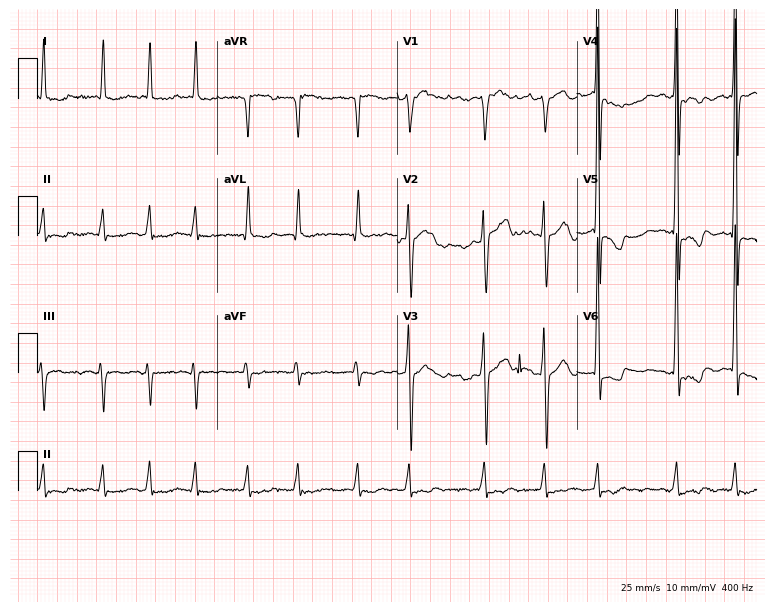
Standard 12-lead ECG recorded from a 77-year-old male patient (7.3-second recording at 400 Hz). The tracing shows atrial fibrillation (AF).